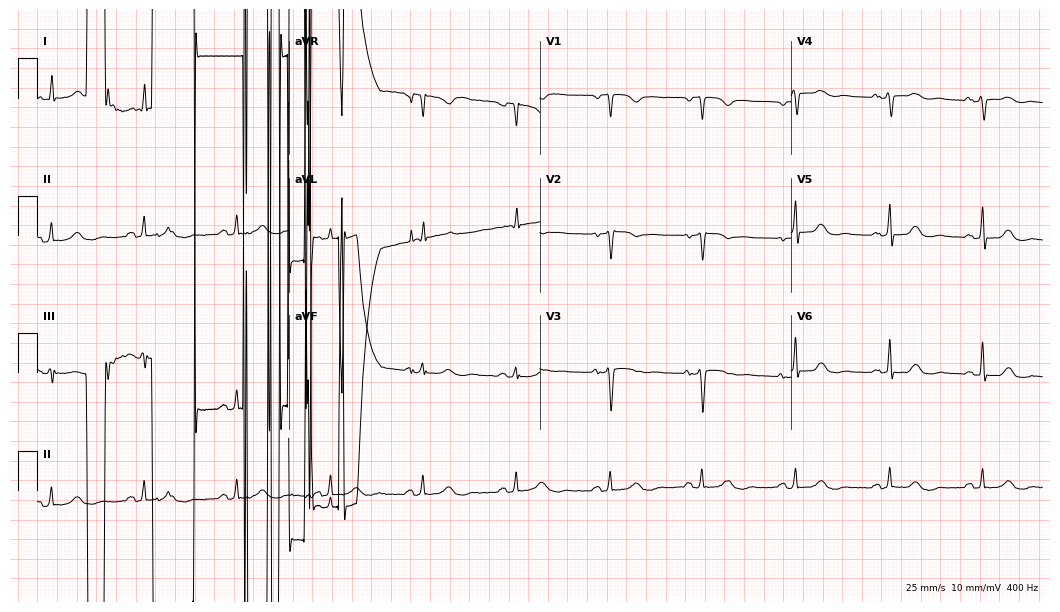
ECG — a female, 56 years old. Screened for six findings — first-degree AV block, right bundle branch block, left bundle branch block, sinus bradycardia, atrial fibrillation, sinus tachycardia — none is recorded. Findings outside these six are not listed.